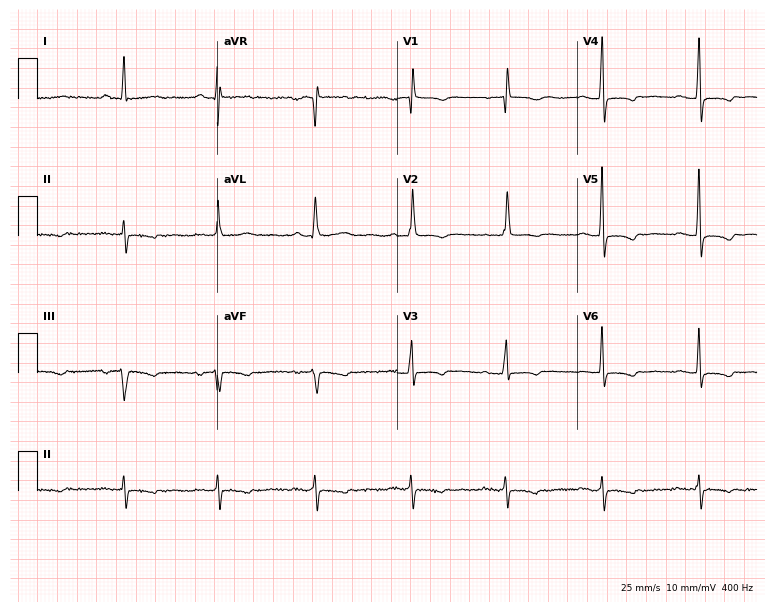
12-lead ECG (7.3-second recording at 400 Hz) from a 74-year-old female. Screened for six findings — first-degree AV block, right bundle branch block, left bundle branch block, sinus bradycardia, atrial fibrillation, sinus tachycardia — none is recorded.